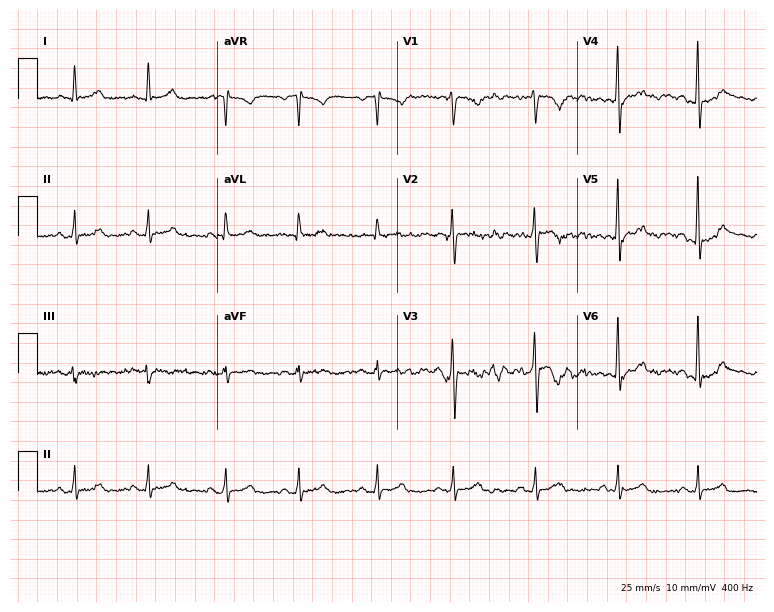
Resting 12-lead electrocardiogram (7.3-second recording at 400 Hz). Patient: a female, 47 years old. None of these six findings is recorded: first-degree AV block, right bundle branch block (RBBB), left bundle branch block (LBBB), sinus bradycardia, atrial fibrillation (AF), sinus tachycardia. Other findings, if any, are not listed.